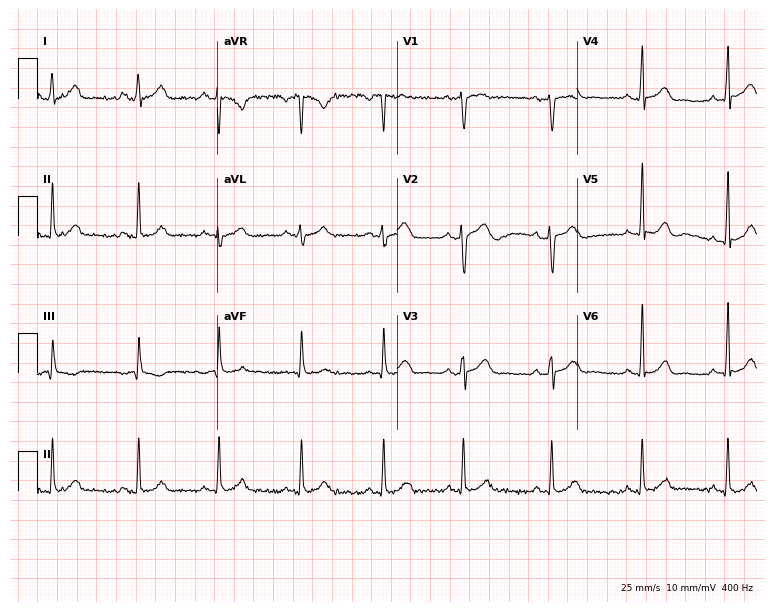
12-lead ECG from a 24-year-old man. No first-degree AV block, right bundle branch block, left bundle branch block, sinus bradycardia, atrial fibrillation or sinus tachycardia recorded for this tracing.